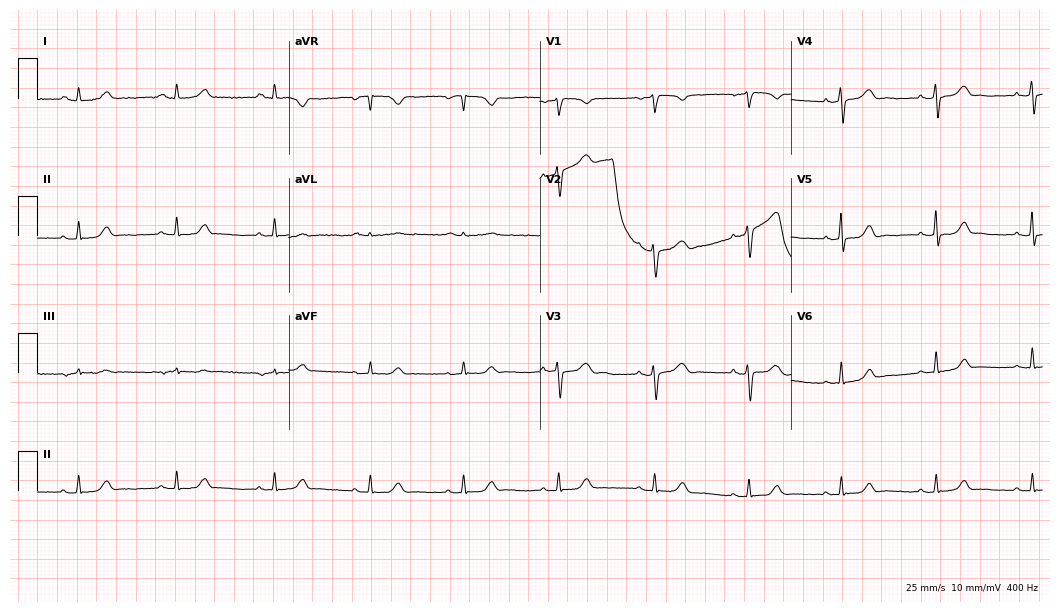
Standard 12-lead ECG recorded from a female patient, 46 years old. None of these six findings is recorded: first-degree AV block, right bundle branch block (RBBB), left bundle branch block (LBBB), sinus bradycardia, atrial fibrillation (AF), sinus tachycardia. Only these six findings were labelled.